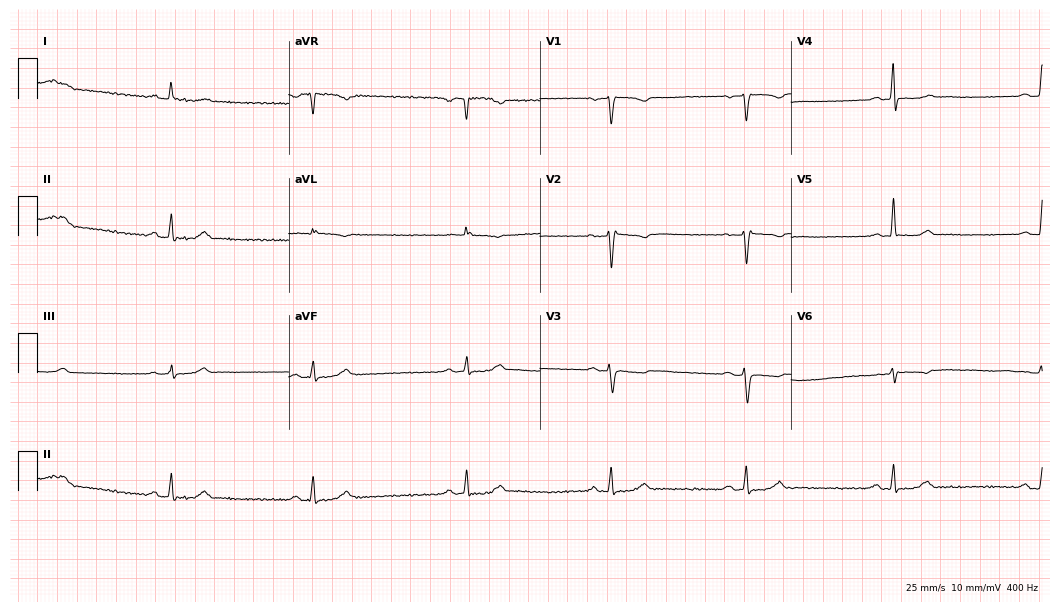
Standard 12-lead ECG recorded from a female, 49 years old. The tracing shows sinus bradycardia (a sinus rate of 50 beats per minute or less).